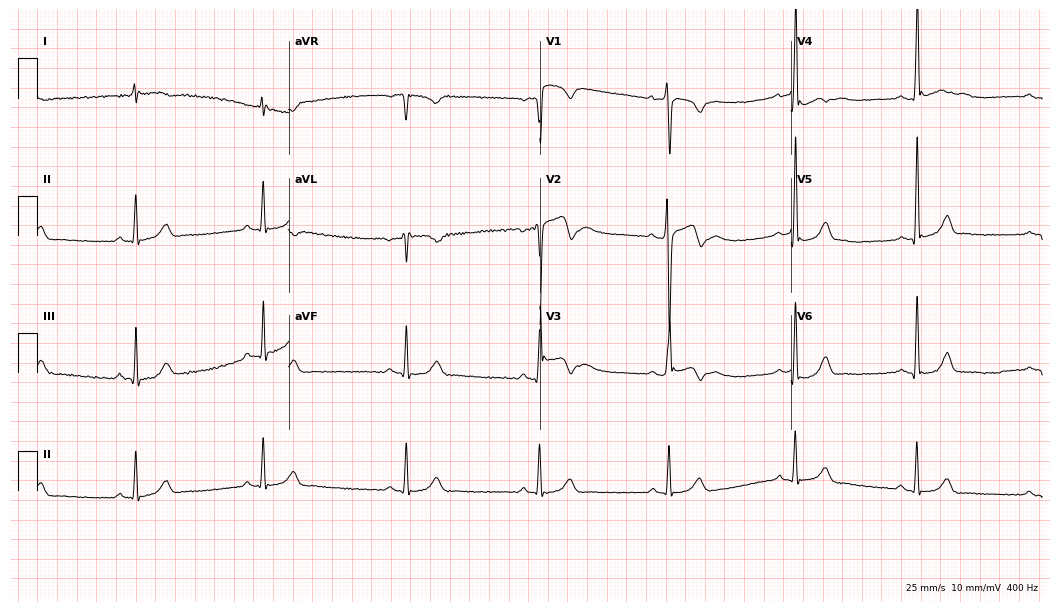
Standard 12-lead ECG recorded from a man, 26 years old (10.2-second recording at 400 Hz). None of these six findings is recorded: first-degree AV block, right bundle branch block, left bundle branch block, sinus bradycardia, atrial fibrillation, sinus tachycardia.